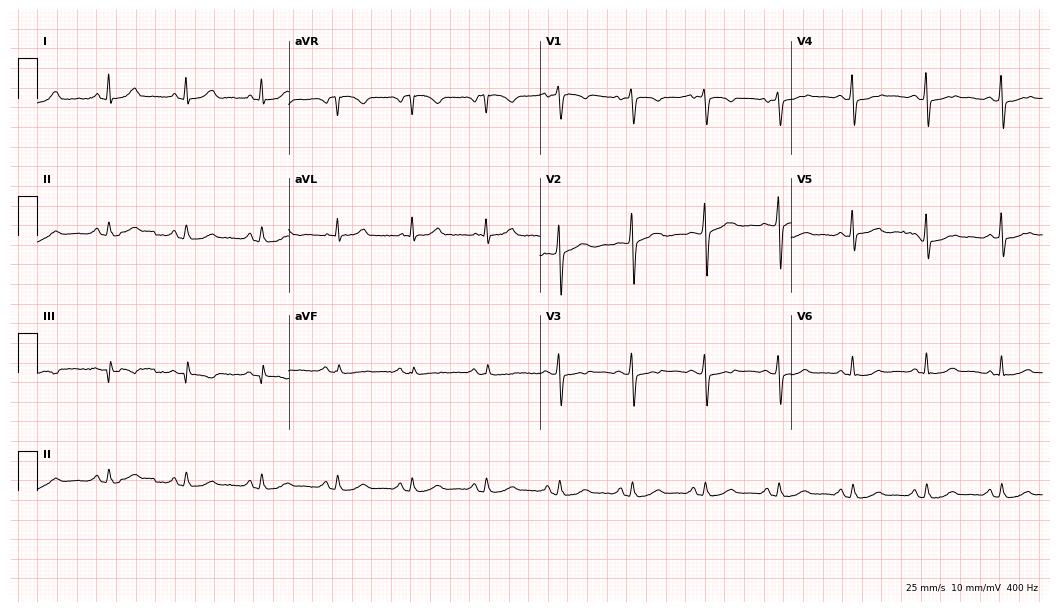
Electrocardiogram (10.2-second recording at 400 Hz), a female patient, 52 years old. Of the six screened findings (first-degree AV block, right bundle branch block (RBBB), left bundle branch block (LBBB), sinus bradycardia, atrial fibrillation (AF), sinus tachycardia), none is recorded.